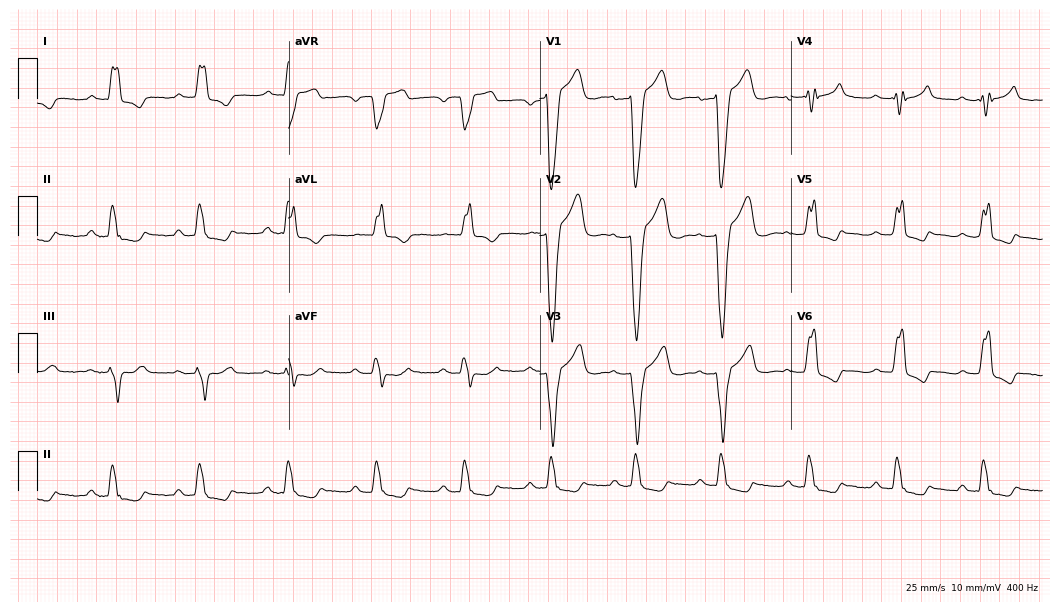
ECG (10.2-second recording at 400 Hz) — a 58-year-old man. Findings include first-degree AV block, left bundle branch block.